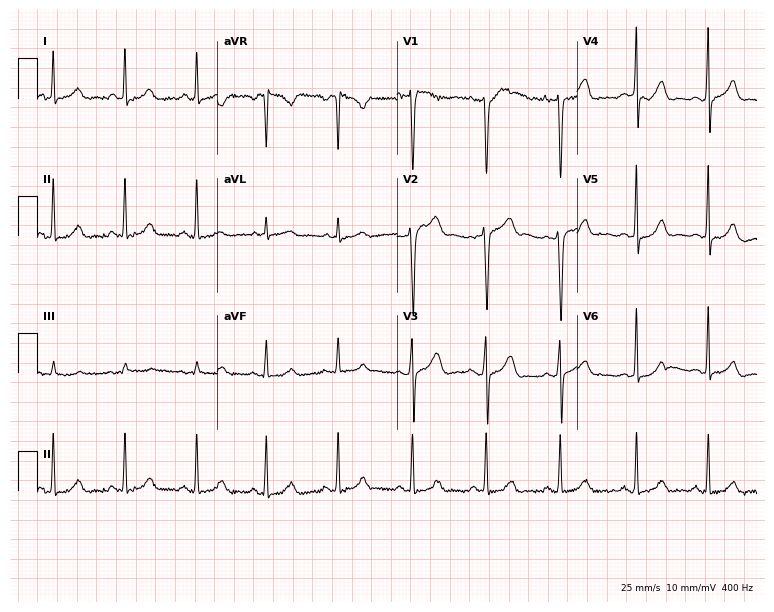
ECG (7.3-second recording at 400 Hz) — a 28-year-old female patient. Labelled as a normal ECG.